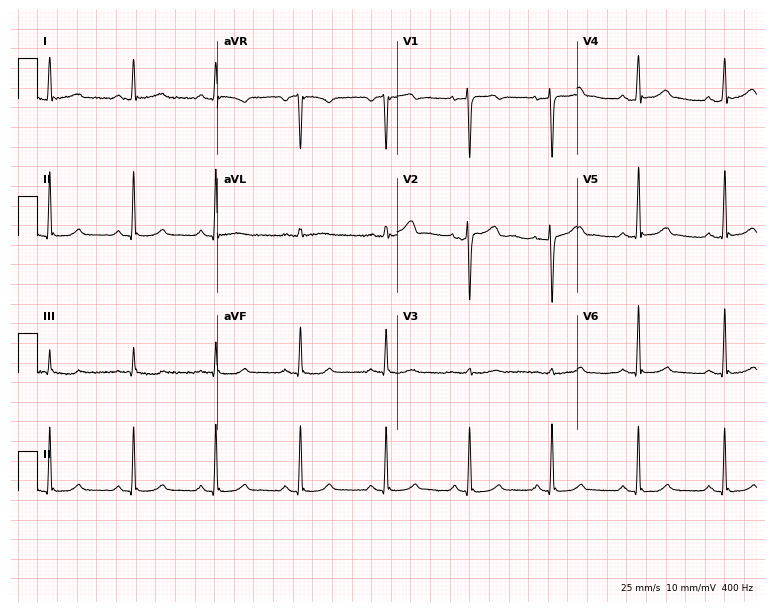
Electrocardiogram, a female patient, 41 years old. Overall reading on record: normal ECG.